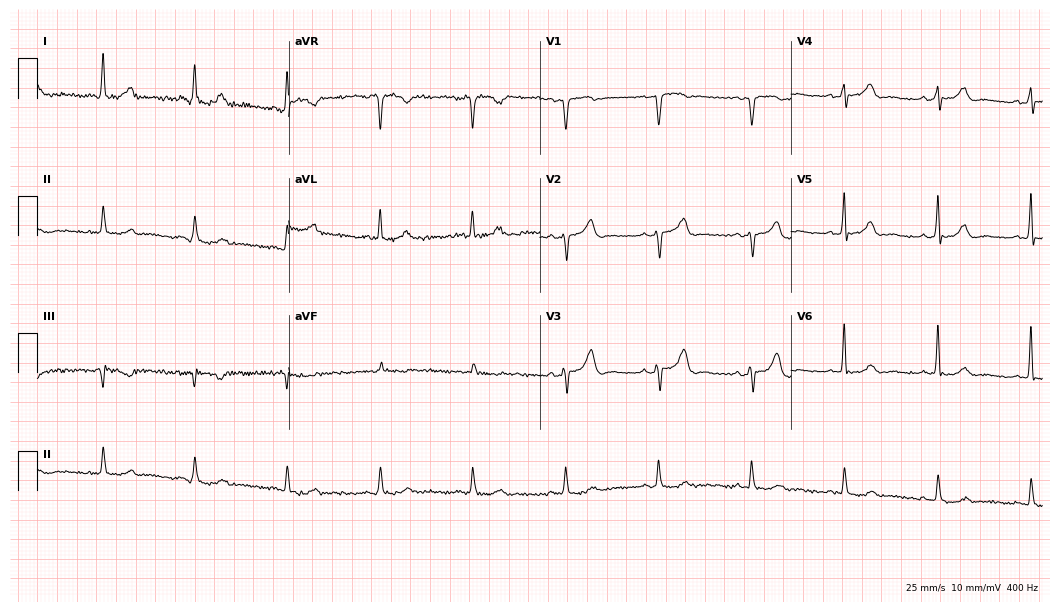
Electrocardiogram, a 68-year-old male. Overall reading on record: normal ECG.